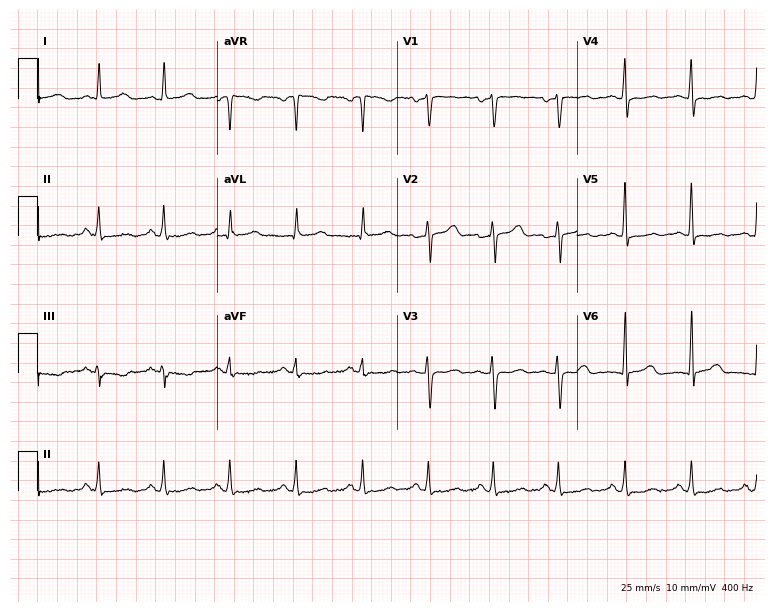
ECG (7.3-second recording at 400 Hz) — a female, 46 years old. Screened for six findings — first-degree AV block, right bundle branch block, left bundle branch block, sinus bradycardia, atrial fibrillation, sinus tachycardia — none is recorded.